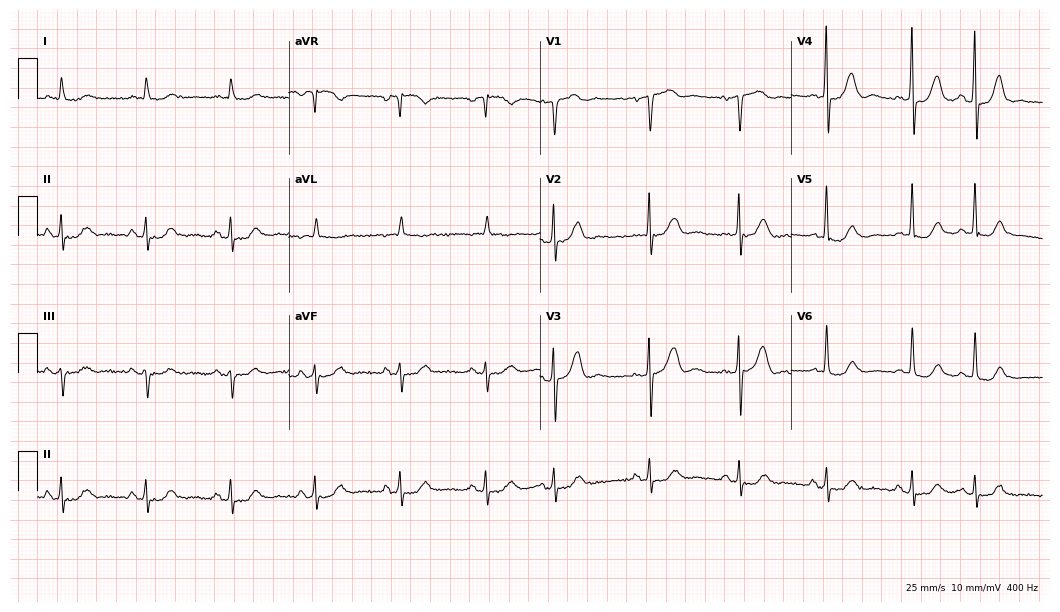
12-lead ECG from an 80-year-old male patient (10.2-second recording at 400 Hz). No first-degree AV block, right bundle branch block, left bundle branch block, sinus bradycardia, atrial fibrillation or sinus tachycardia recorded for this tracing.